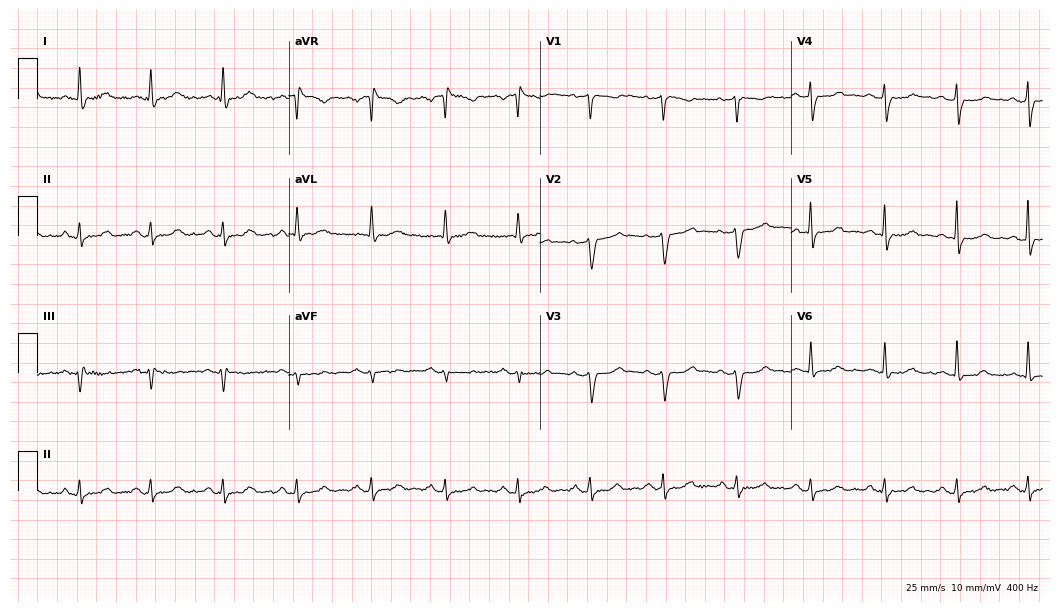
ECG (10.2-second recording at 400 Hz) — a 61-year-old female. Labelled as a normal ECG.